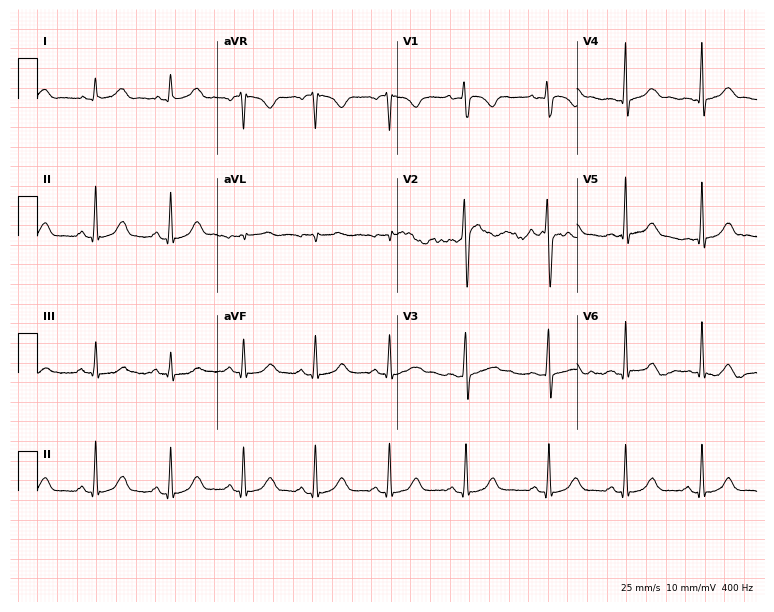
Standard 12-lead ECG recorded from a woman, 40 years old (7.3-second recording at 400 Hz). None of these six findings is recorded: first-degree AV block, right bundle branch block (RBBB), left bundle branch block (LBBB), sinus bradycardia, atrial fibrillation (AF), sinus tachycardia. Findings outside these six are not listed.